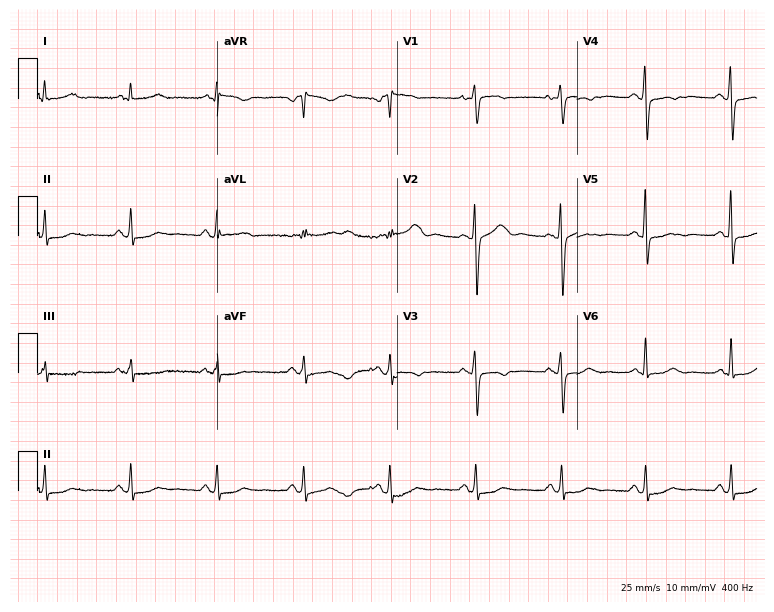
12-lead ECG (7.3-second recording at 400 Hz) from a 60-year-old female patient. Screened for six findings — first-degree AV block, right bundle branch block, left bundle branch block, sinus bradycardia, atrial fibrillation, sinus tachycardia — none is recorded.